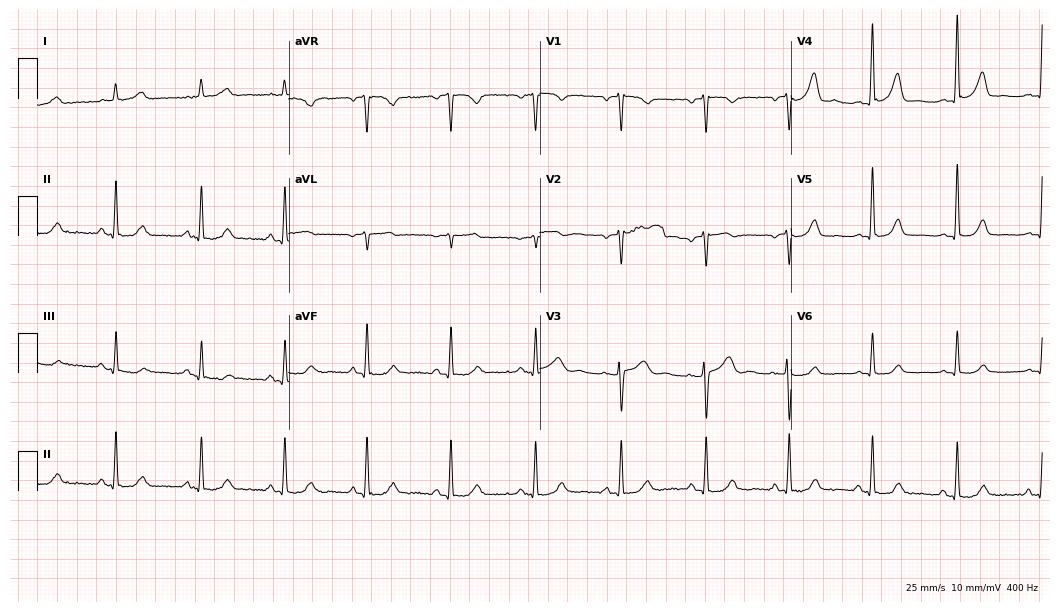
Resting 12-lead electrocardiogram (10.2-second recording at 400 Hz). Patient: a woman, 50 years old. None of these six findings is recorded: first-degree AV block, right bundle branch block (RBBB), left bundle branch block (LBBB), sinus bradycardia, atrial fibrillation (AF), sinus tachycardia. Other findings, if any, are not listed.